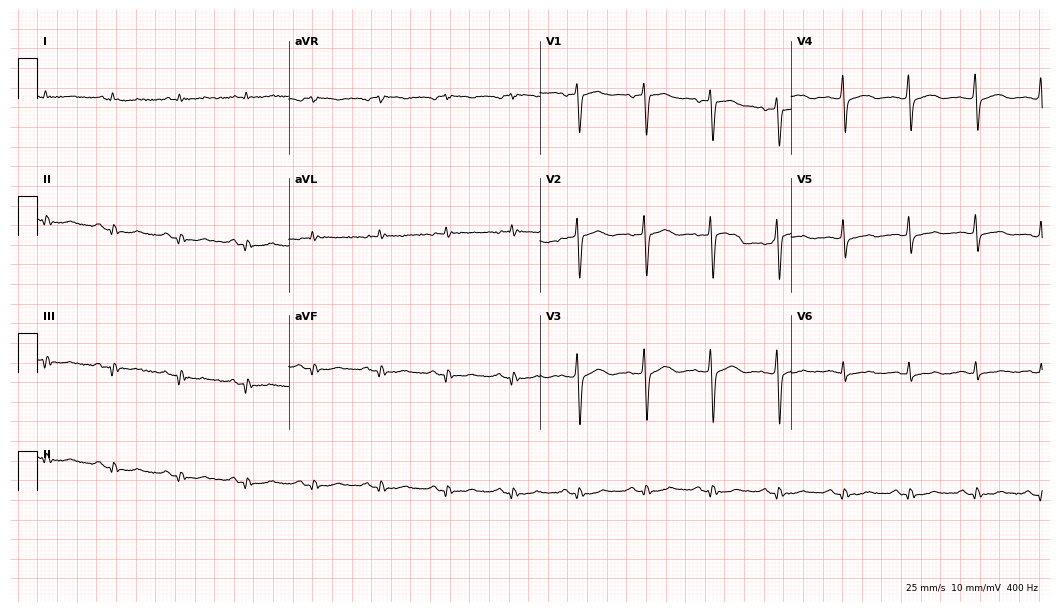
Standard 12-lead ECG recorded from a man, 75 years old. None of these six findings is recorded: first-degree AV block, right bundle branch block (RBBB), left bundle branch block (LBBB), sinus bradycardia, atrial fibrillation (AF), sinus tachycardia. Other findings, if any, are not listed.